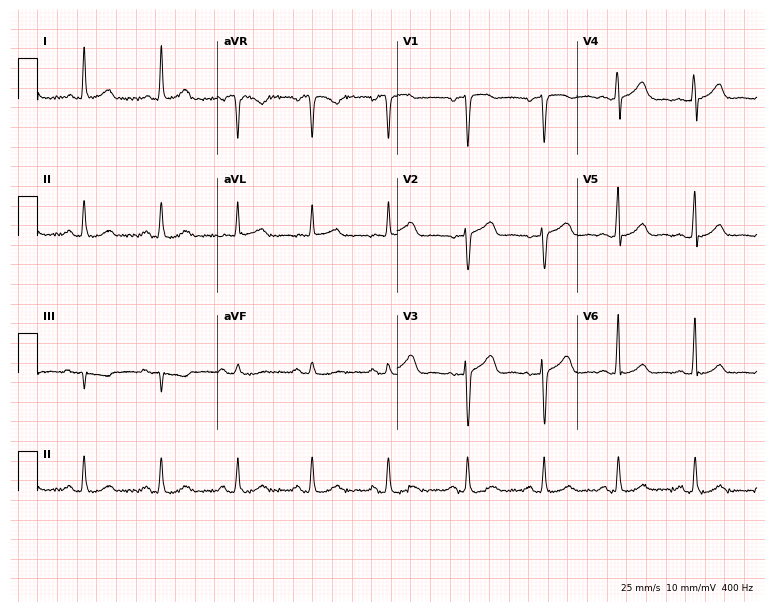
Resting 12-lead electrocardiogram. Patient: a 55-year-old woman. Read as a normal ECG.